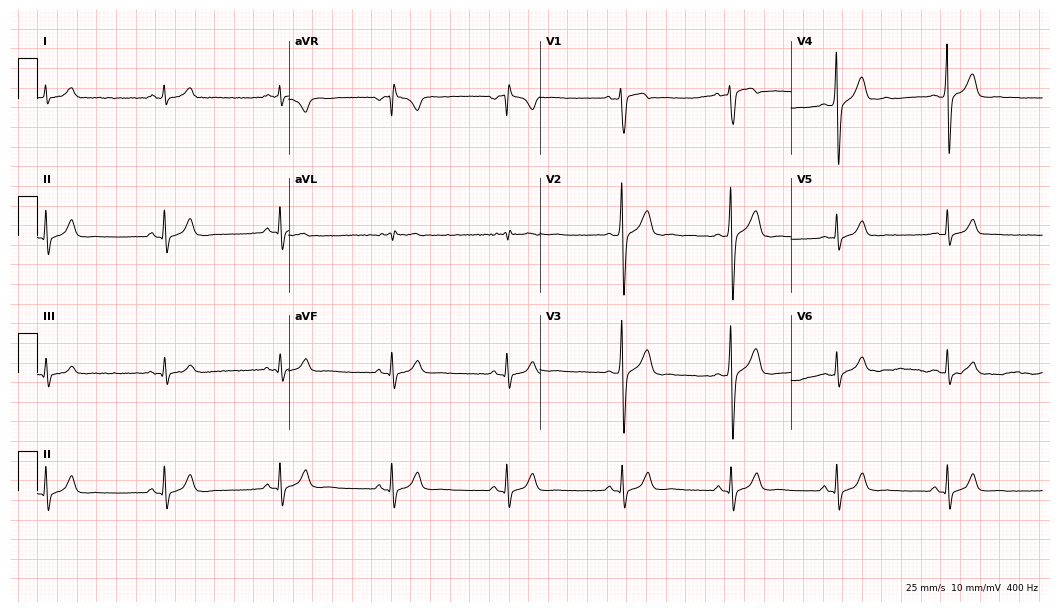
12-lead ECG from a 31-year-old male patient. Labelled as a normal ECG.